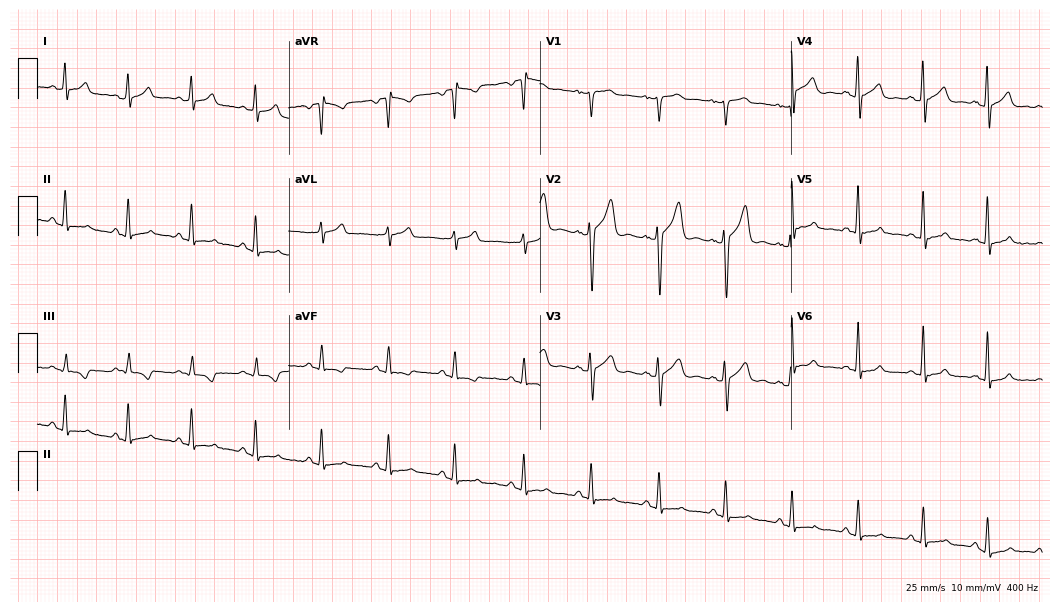
Standard 12-lead ECG recorded from a male patient, 32 years old (10.2-second recording at 400 Hz). None of these six findings is recorded: first-degree AV block, right bundle branch block, left bundle branch block, sinus bradycardia, atrial fibrillation, sinus tachycardia. Findings outside these six are not listed.